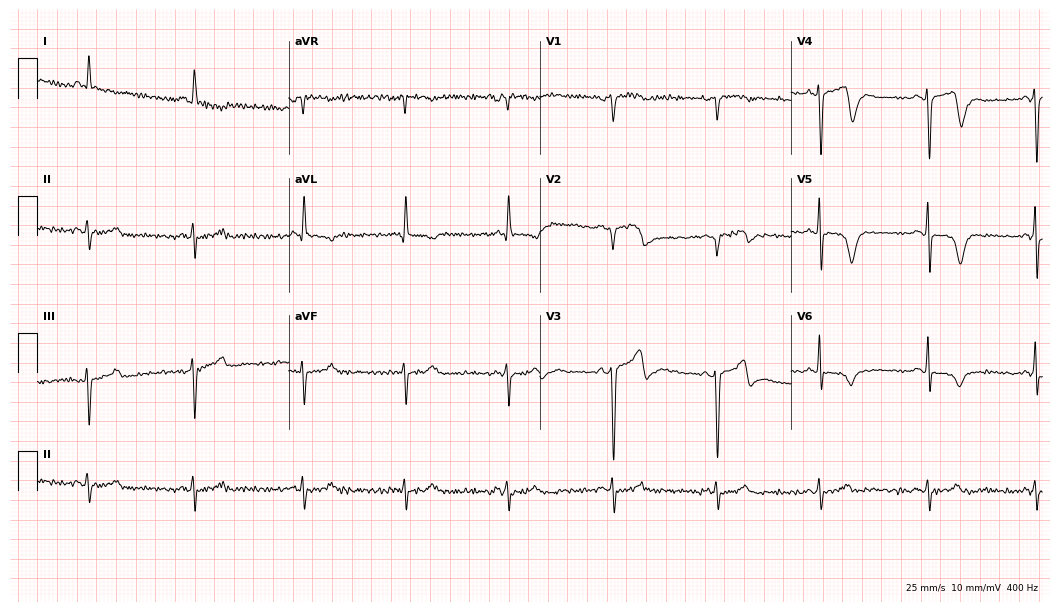
Electrocardiogram (10.2-second recording at 400 Hz), a 70-year-old male. Of the six screened findings (first-degree AV block, right bundle branch block (RBBB), left bundle branch block (LBBB), sinus bradycardia, atrial fibrillation (AF), sinus tachycardia), none is recorded. Other findings, if any, are not listed.